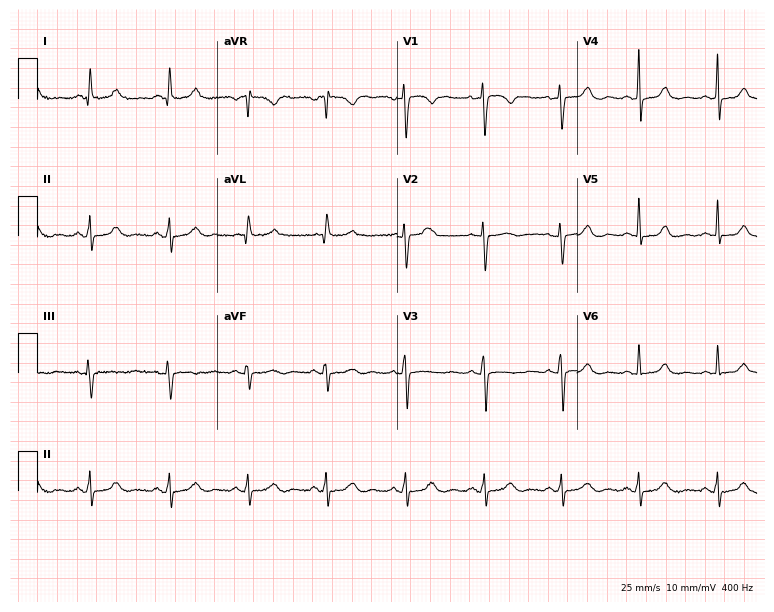
Electrocardiogram (7.3-second recording at 400 Hz), a 46-year-old female. Overall reading on record: normal ECG.